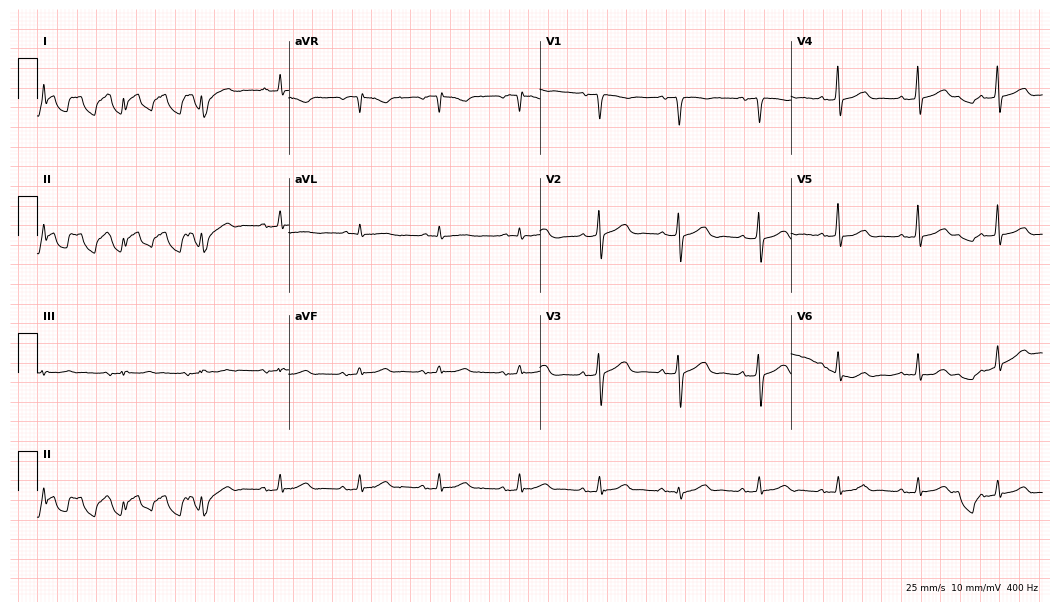
12-lead ECG (10.2-second recording at 400 Hz) from a 73-year-old female. Screened for six findings — first-degree AV block, right bundle branch block (RBBB), left bundle branch block (LBBB), sinus bradycardia, atrial fibrillation (AF), sinus tachycardia — none is recorded.